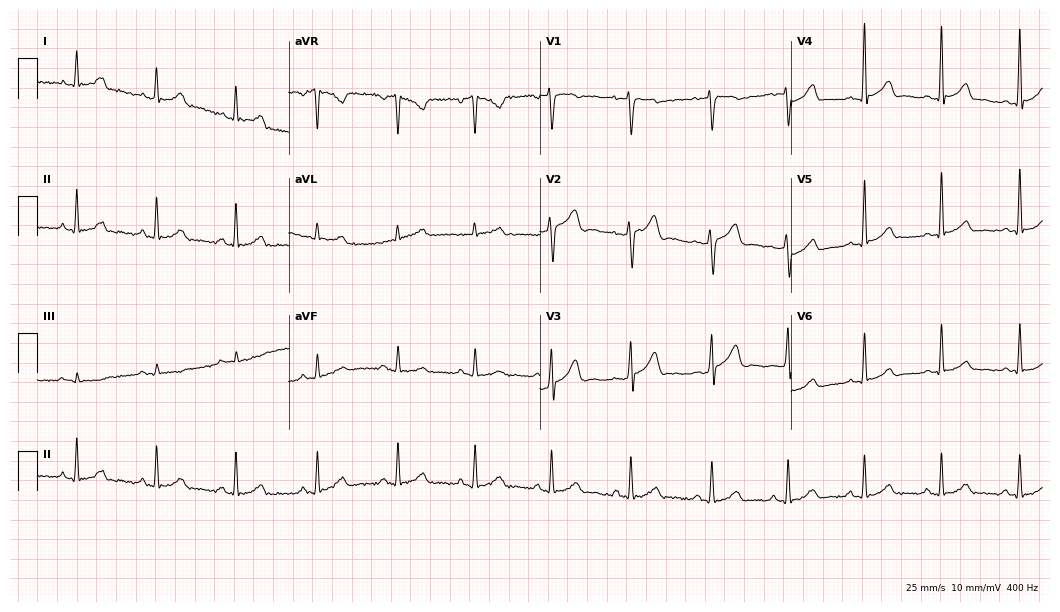
Electrocardiogram (10.2-second recording at 400 Hz), a man, 28 years old. Of the six screened findings (first-degree AV block, right bundle branch block (RBBB), left bundle branch block (LBBB), sinus bradycardia, atrial fibrillation (AF), sinus tachycardia), none is recorded.